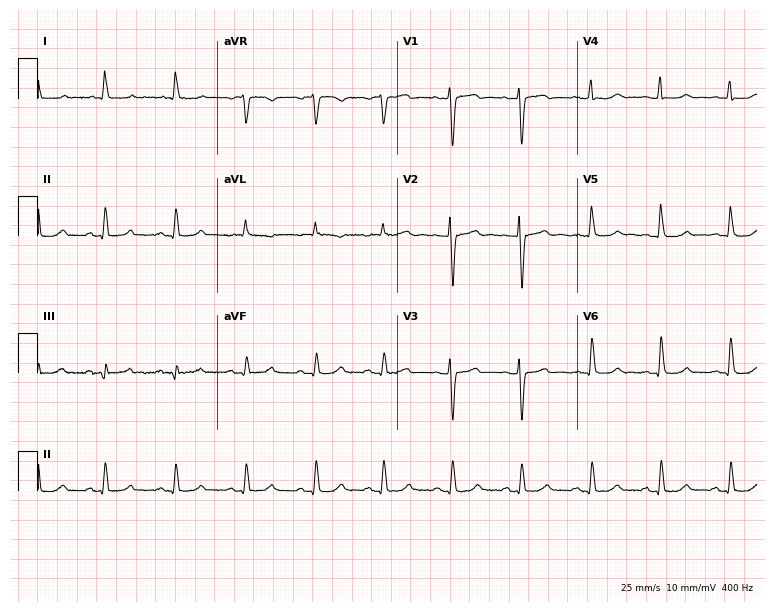
Electrocardiogram (7.3-second recording at 400 Hz), a female, 59 years old. Overall reading on record: normal ECG.